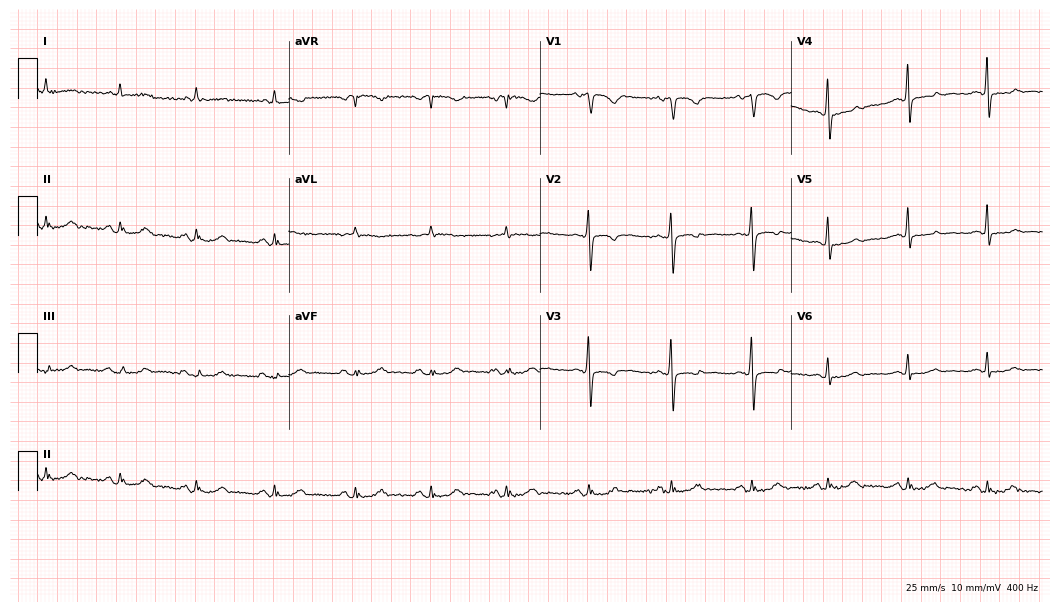
Standard 12-lead ECG recorded from a male patient, 70 years old. None of these six findings is recorded: first-degree AV block, right bundle branch block, left bundle branch block, sinus bradycardia, atrial fibrillation, sinus tachycardia. Findings outside these six are not listed.